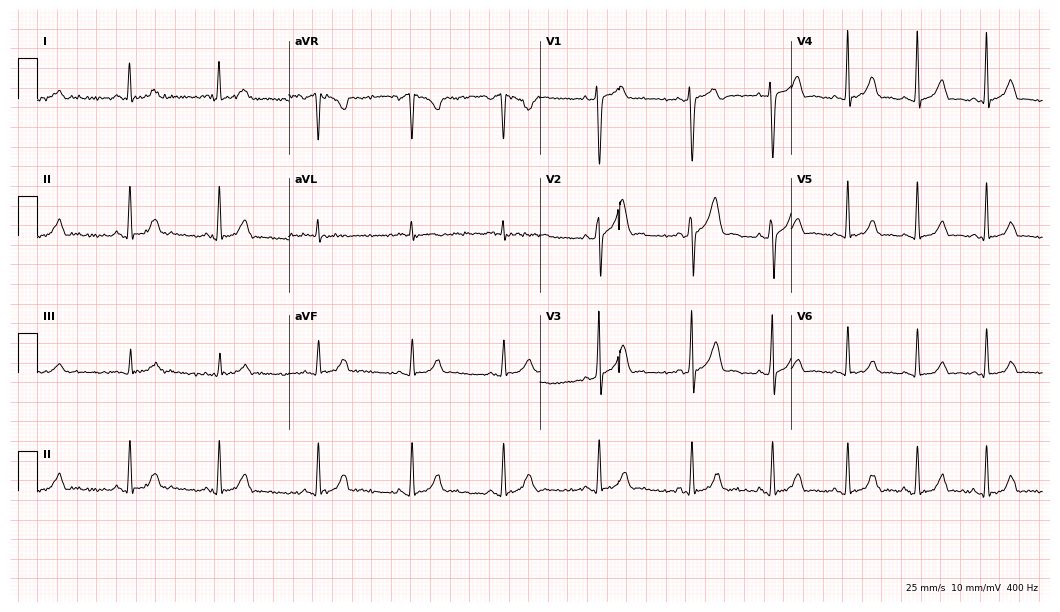
12-lead ECG (10.2-second recording at 400 Hz) from a male, 19 years old. Screened for six findings — first-degree AV block, right bundle branch block, left bundle branch block, sinus bradycardia, atrial fibrillation, sinus tachycardia — none is recorded.